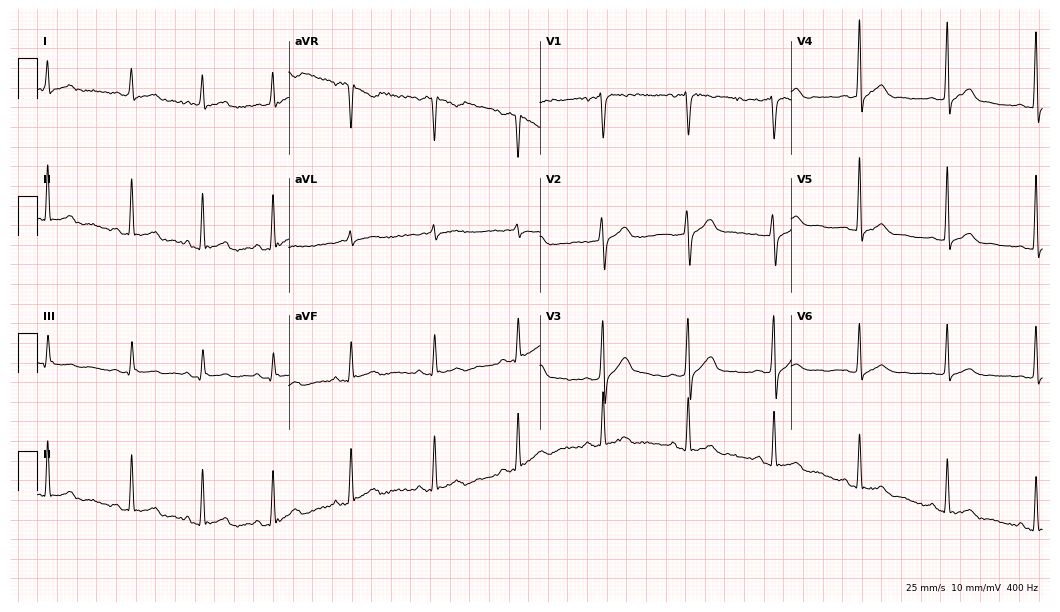
Resting 12-lead electrocardiogram (10.2-second recording at 400 Hz). Patient: a 36-year-old male. Read as a normal ECG.